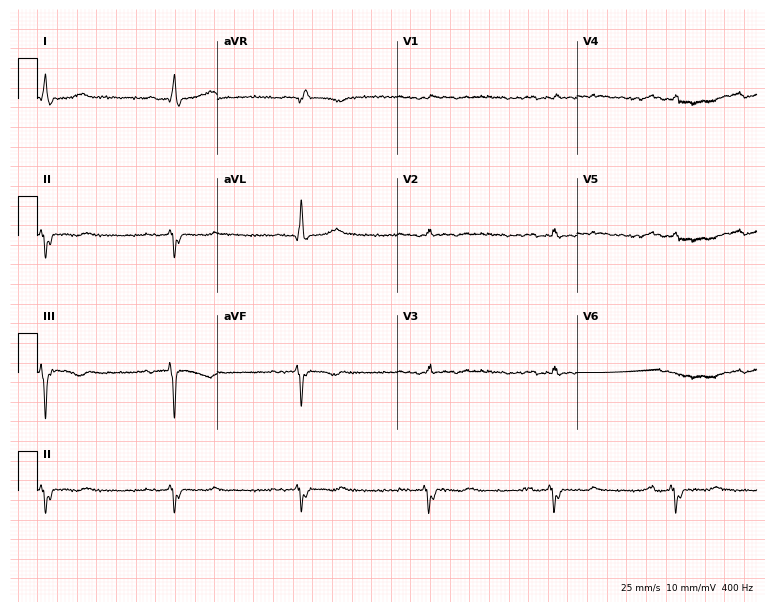
ECG (7.3-second recording at 400 Hz) — a female, 63 years old. Screened for six findings — first-degree AV block, right bundle branch block, left bundle branch block, sinus bradycardia, atrial fibrillation, sinus tachycardia — none is recorded. Other findings, if any, are not listed.